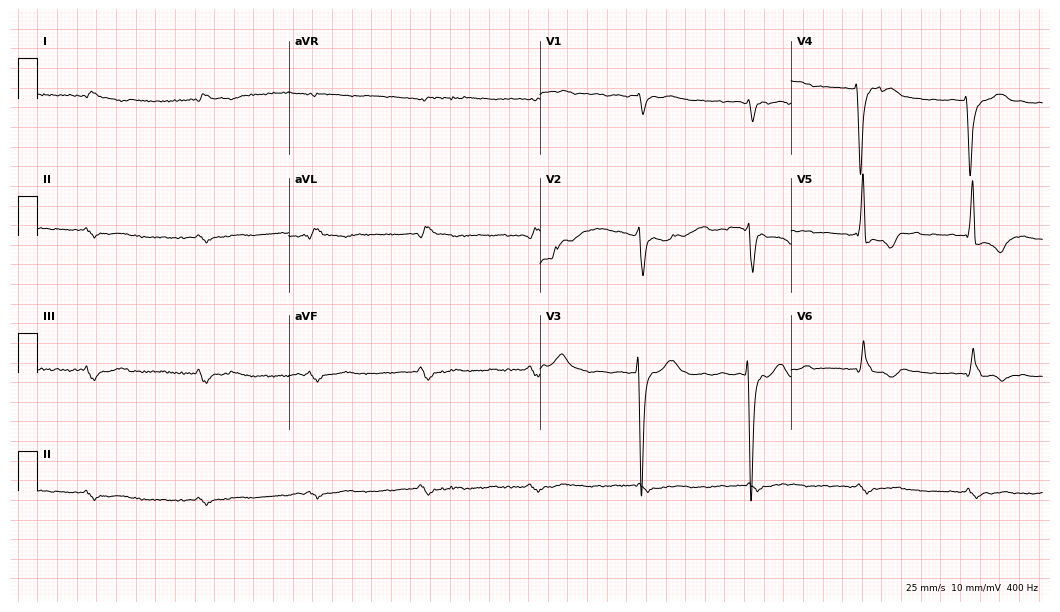
12-lead ECG from a woman, 69 years old. No first-degree AV block, right bundle branch block (RBBB), left bundle branch block (LBBB), sinus bradycardia, atrial fibrillation (AF) or sinus tachycardia recorded for this tracing. Only these six findings were labelled.